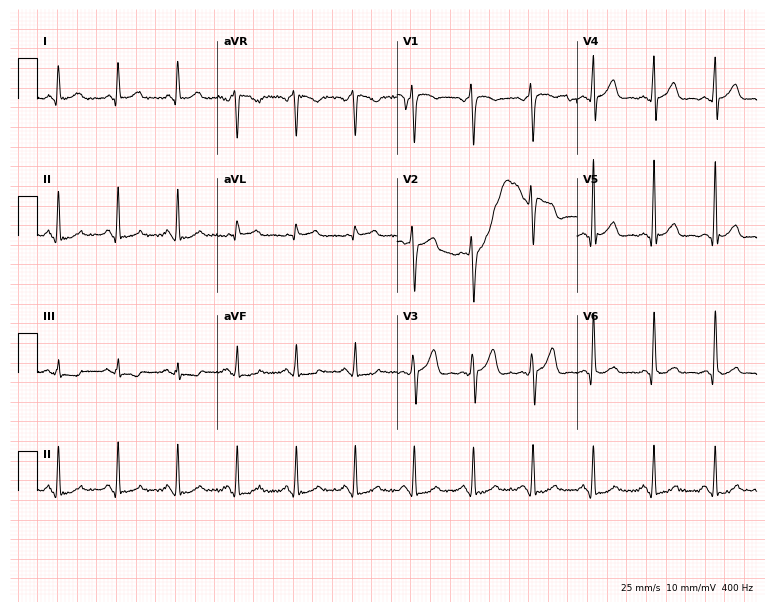
Resting 12-lead electrocardiogram (7.3-second recording at 400 Hz). Patient: a 53-year-old male. None of these six findings is recorded: first-degree AV block, right bundle branch block, left bundle branch block, sinus bradycardia, atrial fibrillation, sinus tachycardia.